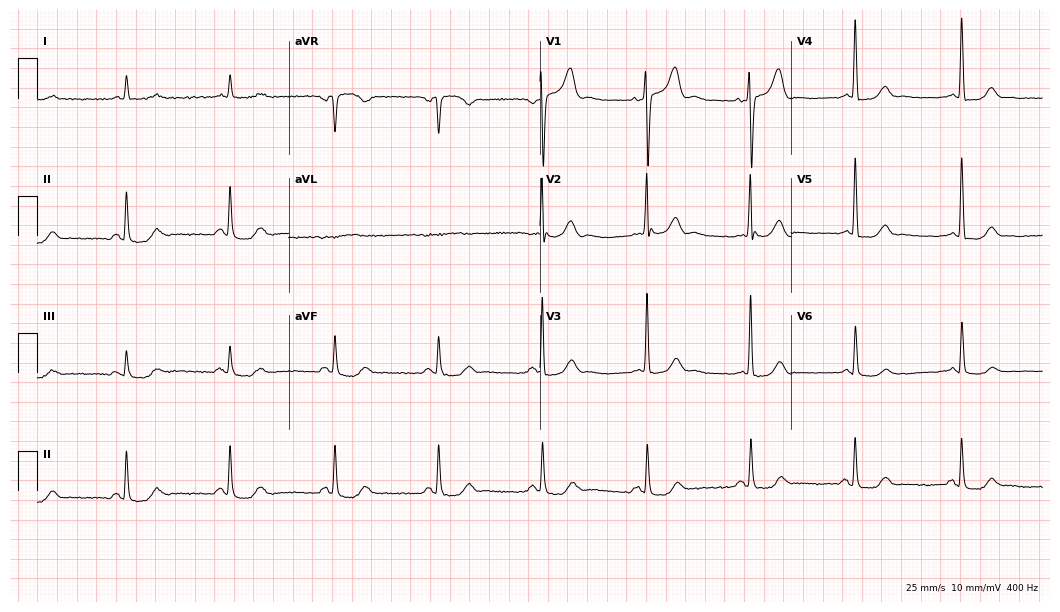
12-lead ECG (10.2-second recording at 400 Hz) from a male patient, 83 years old. Labelled as a normal ECG.